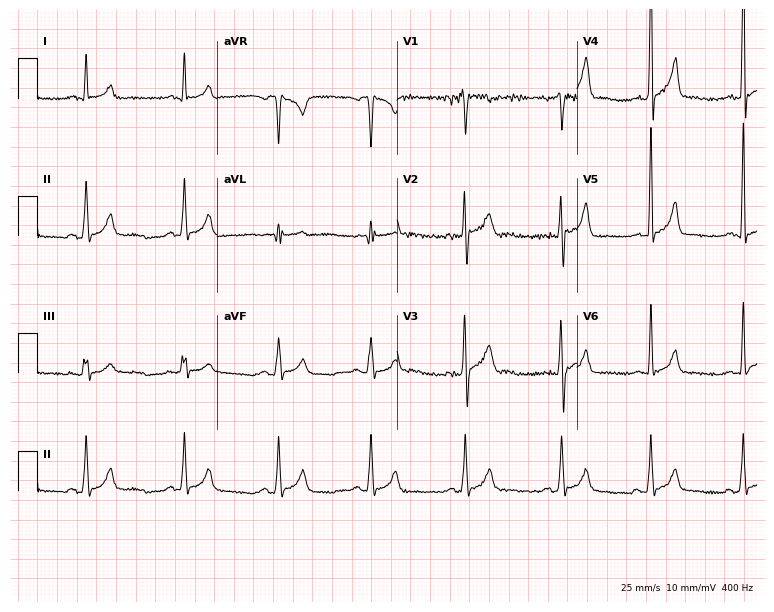
Electrocardiogram, a male patient, 18 years old. Overall reading on record: normal ECG.